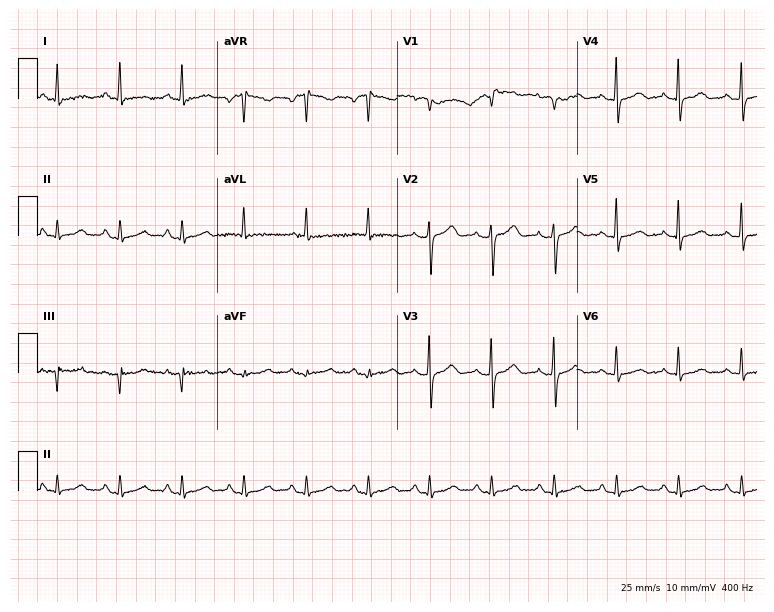
Resting 12-lead electrocardiogram (7.3-second recording at 400 Hz). Patient: a 67-year-old female. None of these six findings is recorded: first-degree AV block, right bundle branch block, left bundle branch block, sinus bradycardia, atrial fibrillation, sinus tachycardia. Other findings, if any, are not listed.